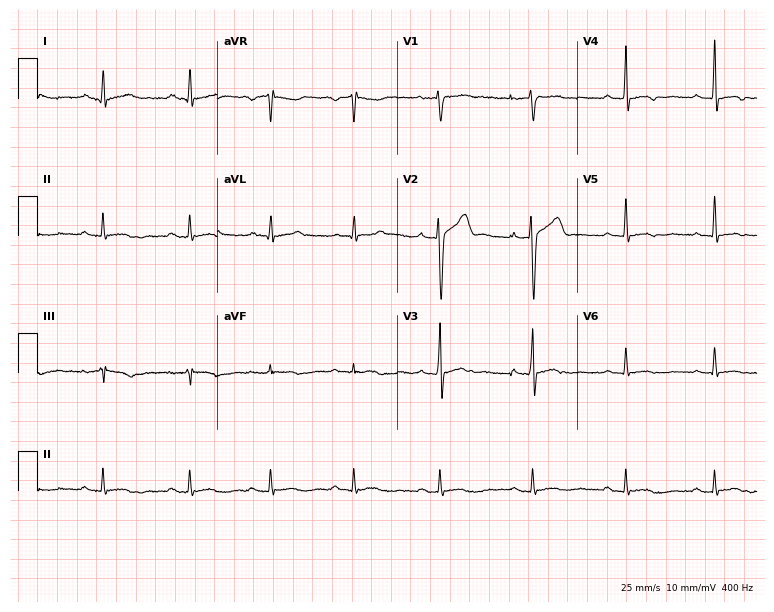
Electrocardiogram, a man, 37 years old. Overall reading on record: normal ECG.